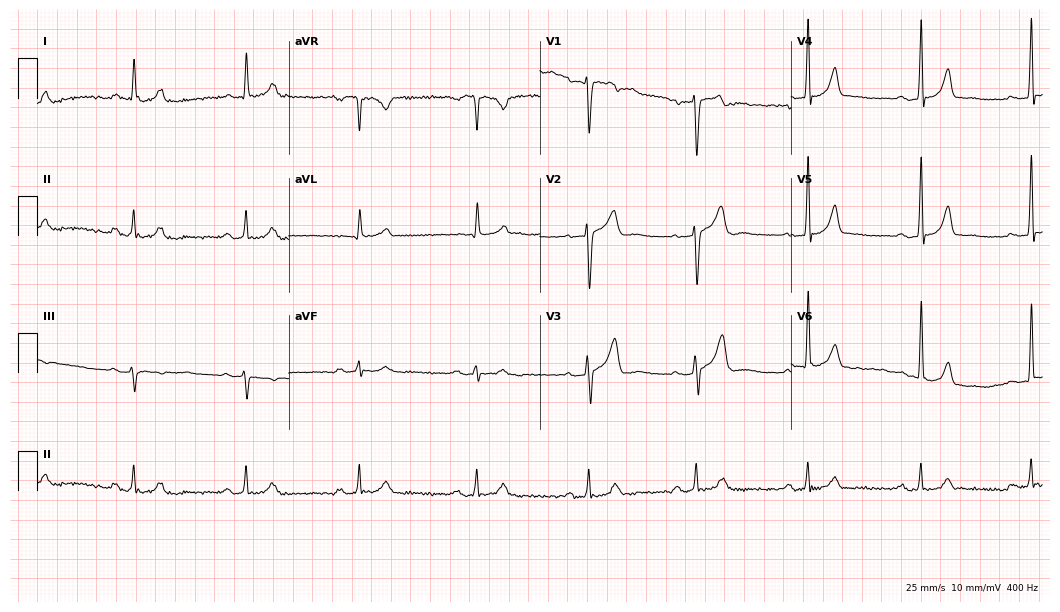
12-lead ECG (10.2-second recording at 400 Hz) from a 51-year-old male. Labelled as a normal ECG.